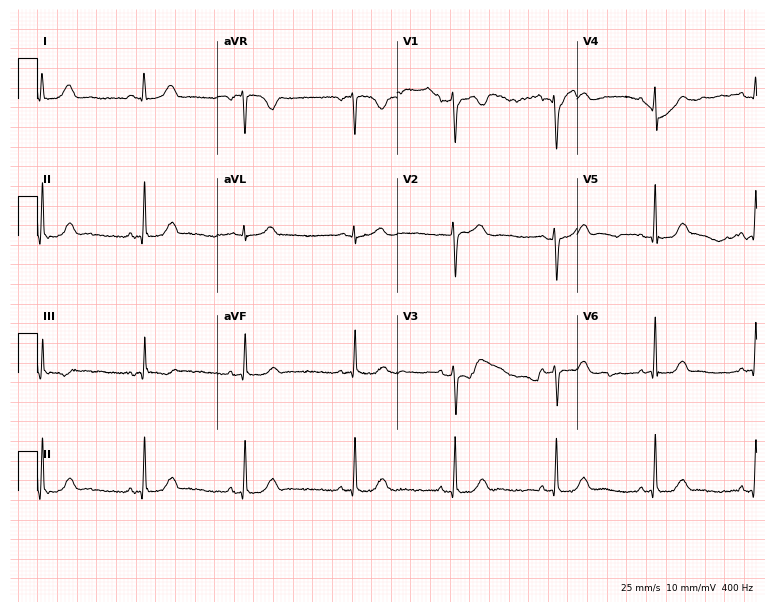
ECG (7.3-second recording at 400 Hz) — a 50-year-old female. Labelled as a normal ECG.